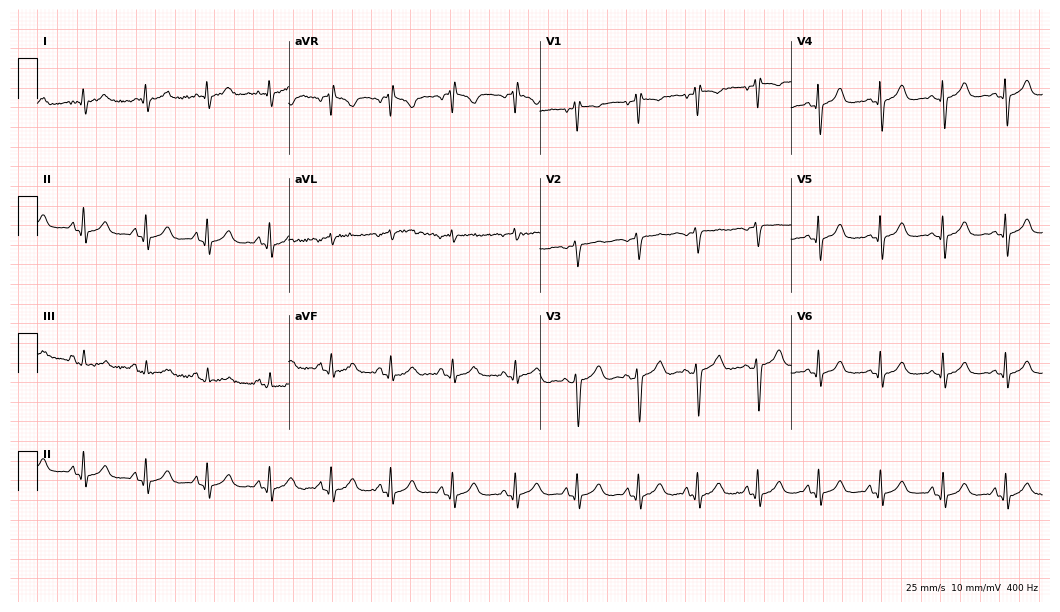
Standard 12-lead ECG recorded from a female patient, 47 years old (10.2-second recording at 400 Hz). Read as a normal ECG.